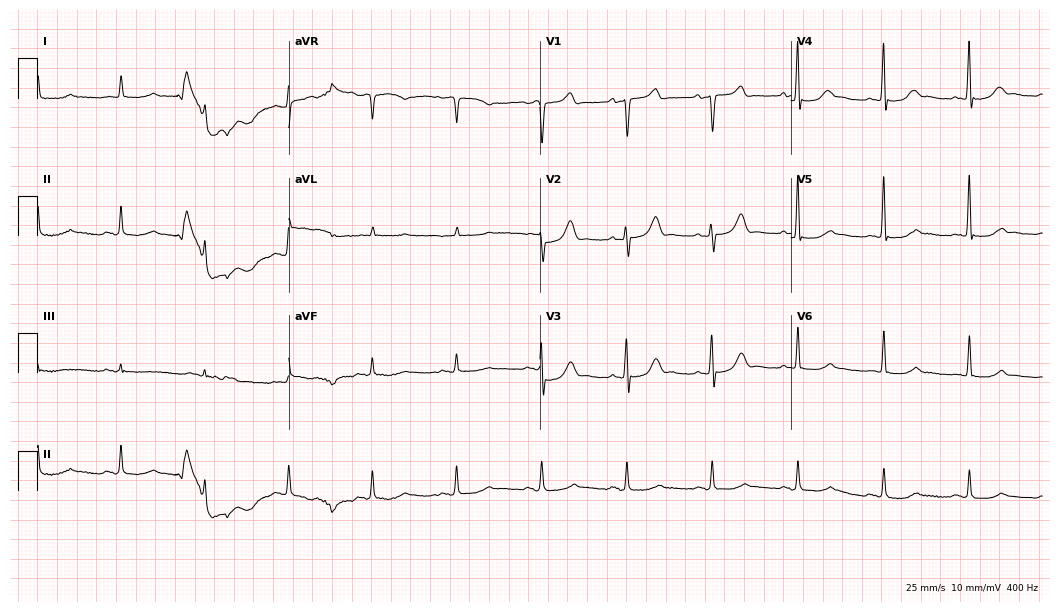
Standard 12-lead ECG recorded from a man, 85 years old. None of these six findings is recorded: first-degree AV block, right bundle branch block (RBBB), left bundle branch block (LBBB), sinus bradycardia, atrial fibrillation (AF), sinus tachycardia.